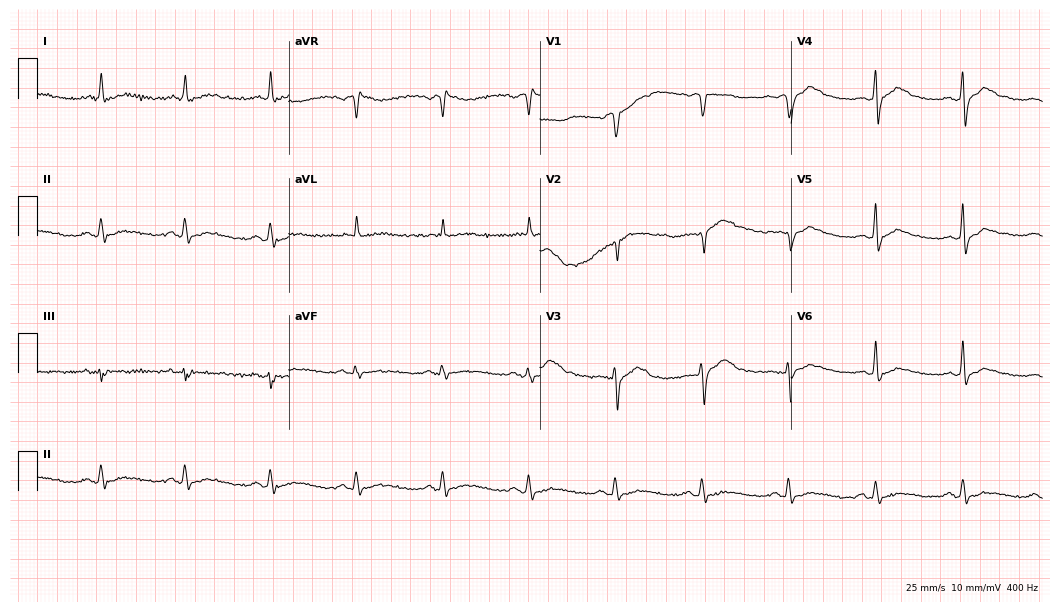
ECG — a 64-year-old male. Screened for six findings — first-degree AV block, right bundle branch block (RBBB), left bundle branch block (LBBB), sinus bradycardia, atrial fibrillation (AF), sinus tachycardia — none is recorded. Only these six findings were labelled.